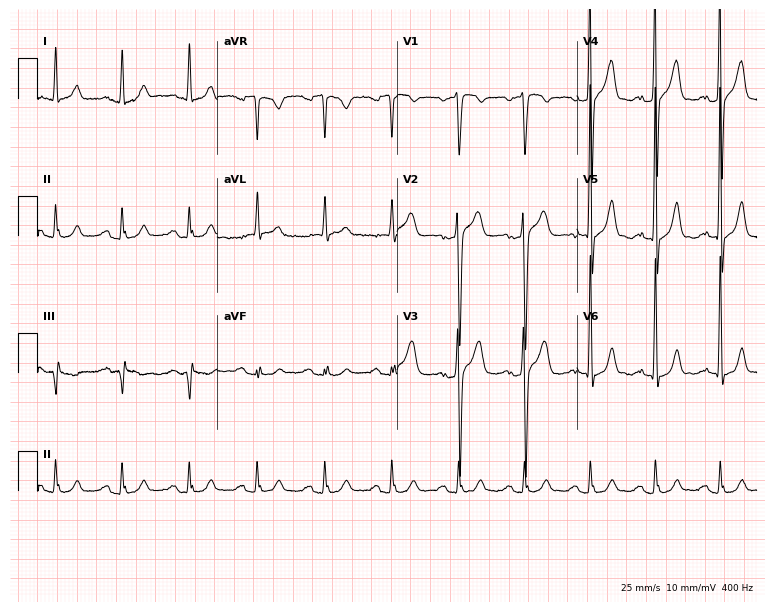
Electrocardiogram (7.3-second recording at 400 Hz), a male, 61 years old. Overall reading on record: normal ECG.